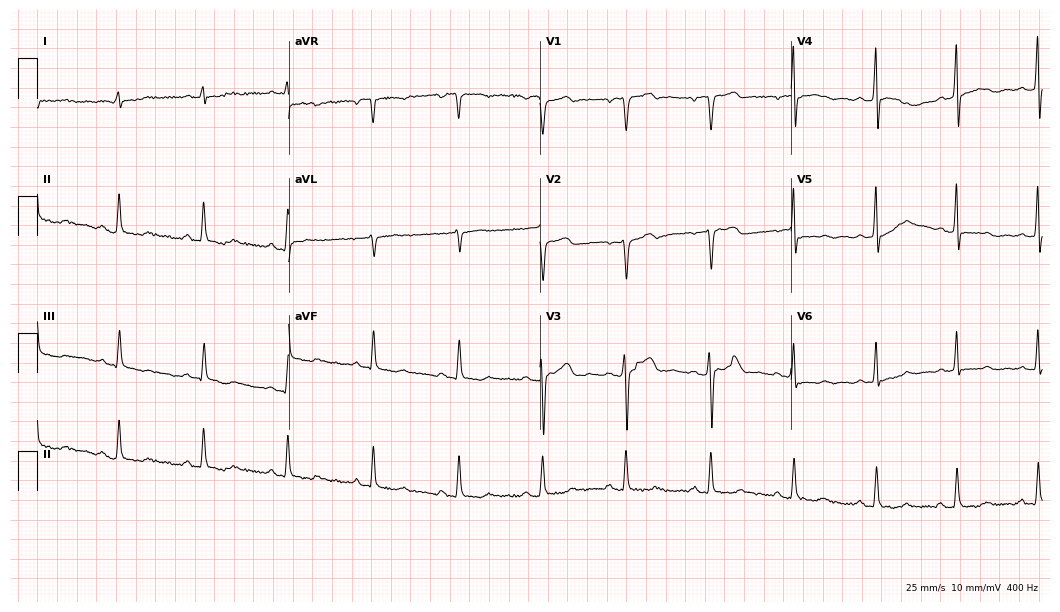
12-lead ECG from a 53-year-old man. Recorded interpretation: within normal limits.